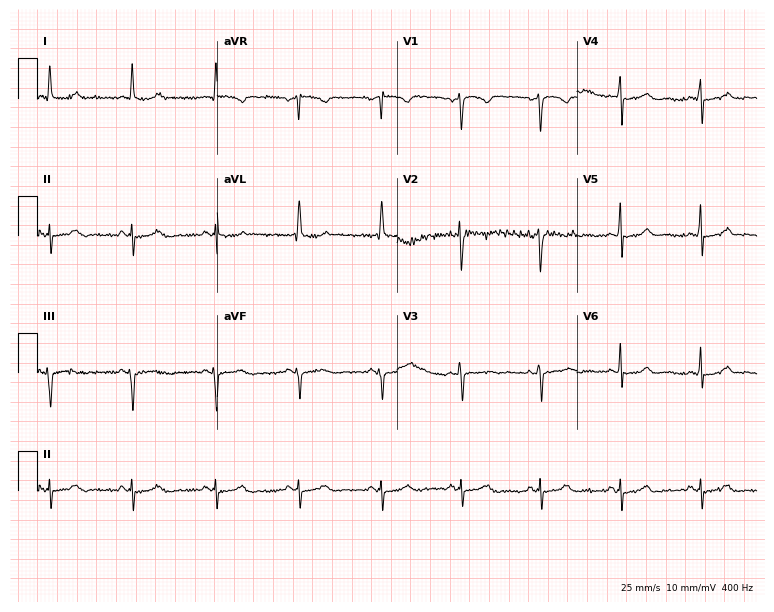
12-lead ECG (7.3-second recording at 400 Hz) from a female patient, 58 years old. Screened for six findings — first-degree AV block, right bundle branch block (RBBB), left bundle branch block (LBBB), sinus bradycardia, atrial fibrillation (AF), sinus tachycardia — none is recorded. Other findings, if any, are not listed.